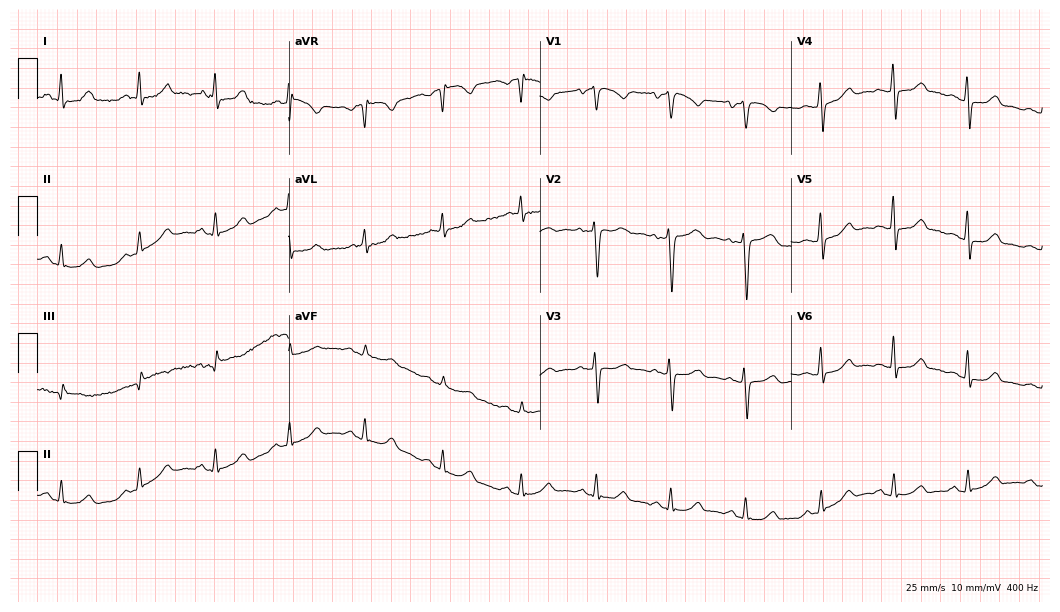
Standard 12-lead ECG recorded from a 46-year-old woman (10.2-second recording at 400 Hz). Read as a normal ECG.